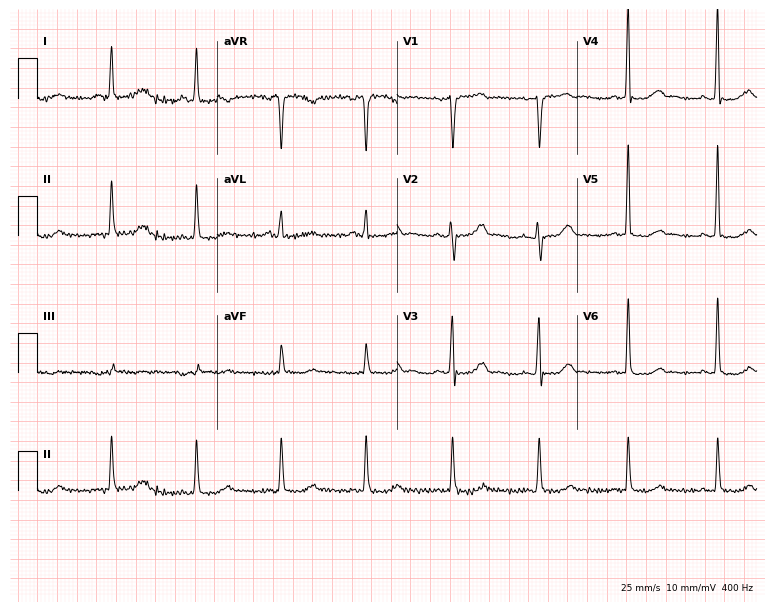
ECG (7.3-second recording at 400 Hz) — a 66-year-old female patient. Screened for six findings — first-degree AV block, right bundle branch block (RBBB), left bundle branch block (LBBB), sinus bradycardia, atrial fibrillation (AF), sinus tachycardia — none is recorded. Other findings, if any, are not listed.